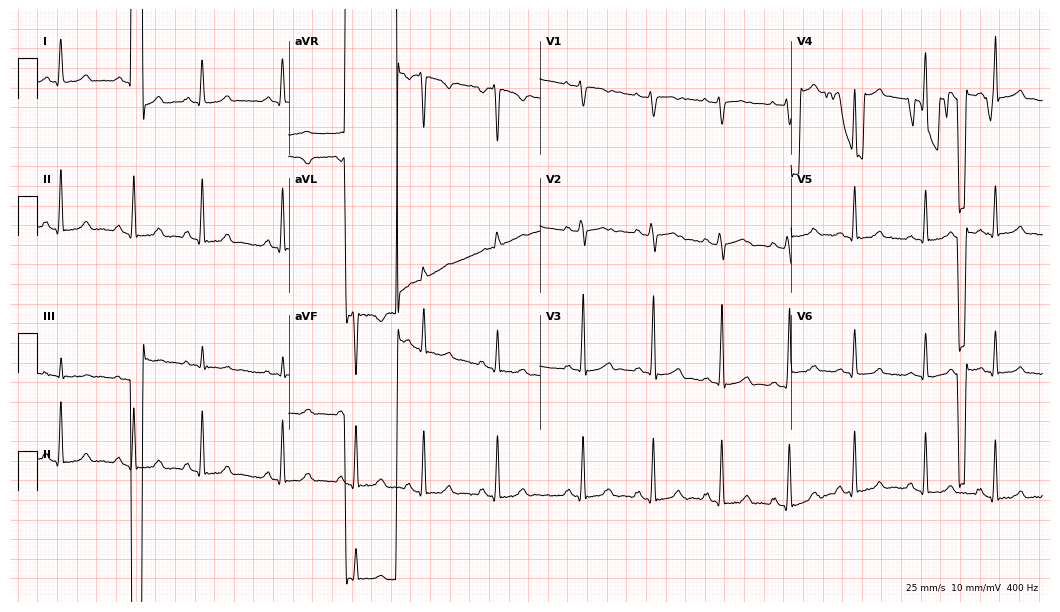
Standard 12-lead ECG recorded from a female, 18 years old (10.2-second recording at 400 Hz). None of these six findings is recorded: first-degree AV block, right bundle branch block, left bundle branch block, sinus bradycardia, atrial fibrillation, sinus tachycardia.